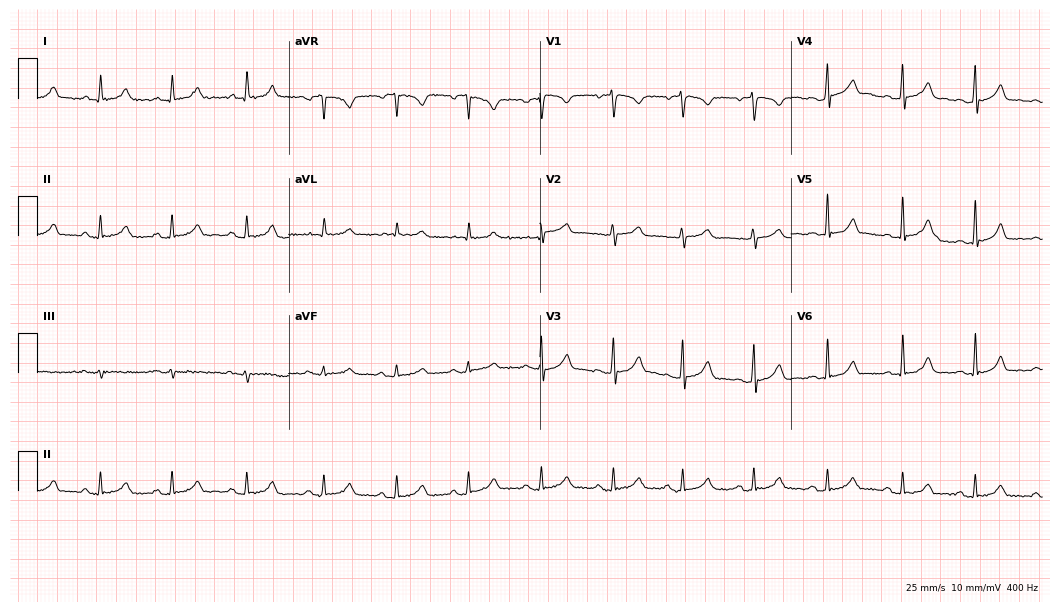
Electrocardiogram (10.2-second recording at 400 Hz), a woman, 34 years old. Of the six screened findings (first-degree AV block, right bundle branch block, left bundle branch block, sinus bradycardia, atrial fibrillation, sinus tachycardia), none is recorded.